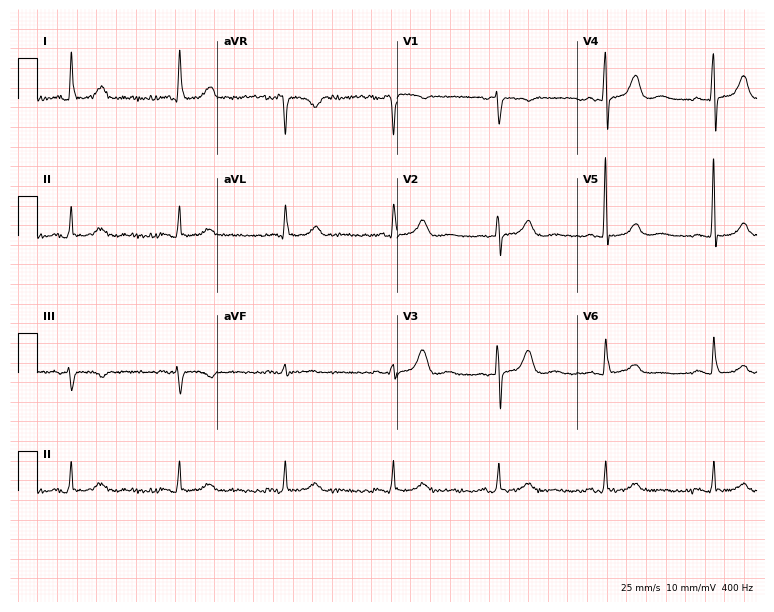
12-lead ECG from a female patient, 67 years old (7.3-second recording at 400 Hz). No first-degree AV block, right bundle branch block (RBBB), left bundle branch block (LBBB), sinus bradycardia, atrial fibrillation (AF) or sinus tachycardia recorded for this tracing.